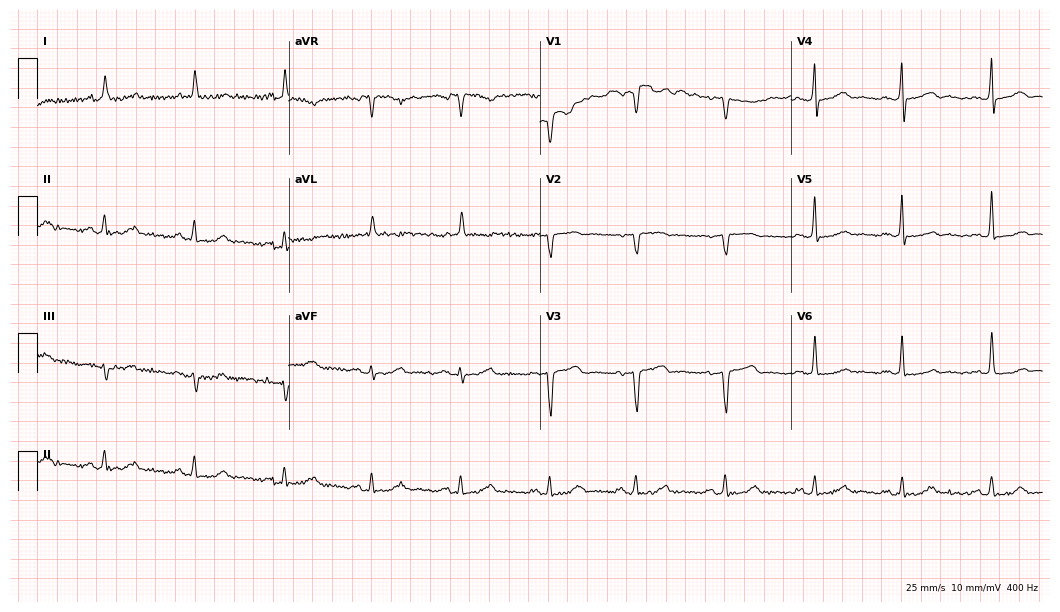
Electrocardiogram, a female patient, 66 years old. Of the six screened findings (first-degree AV block, right bundle branch block, left bundle branch block, sinus bradycardia, atrial fibrillation, sinus tachycardia), none is recorded.